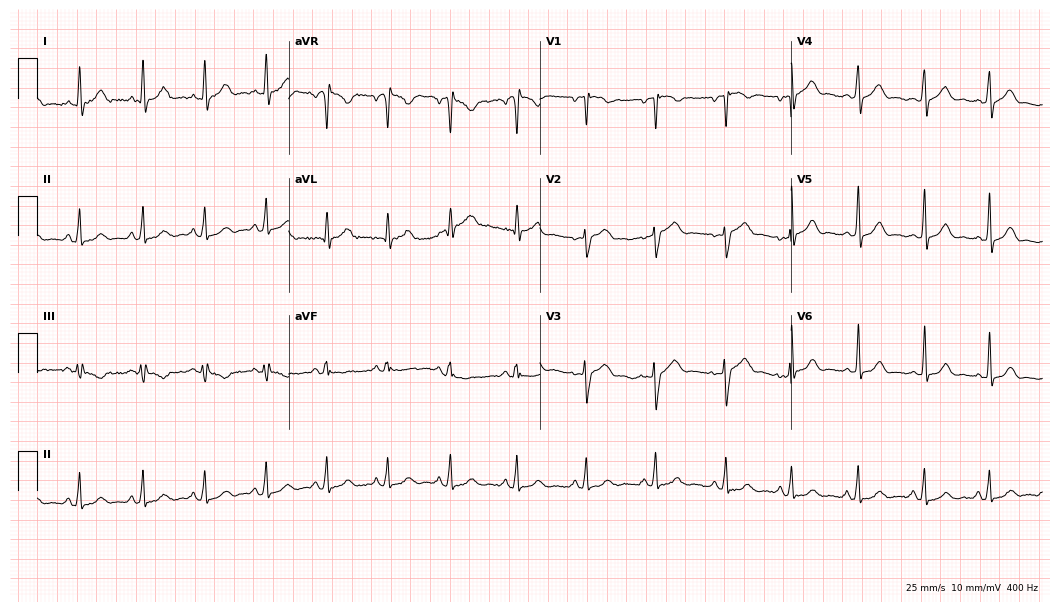
12-lead ECG from a female patient, 30 years old. Recorded interpretation: within normal limits.